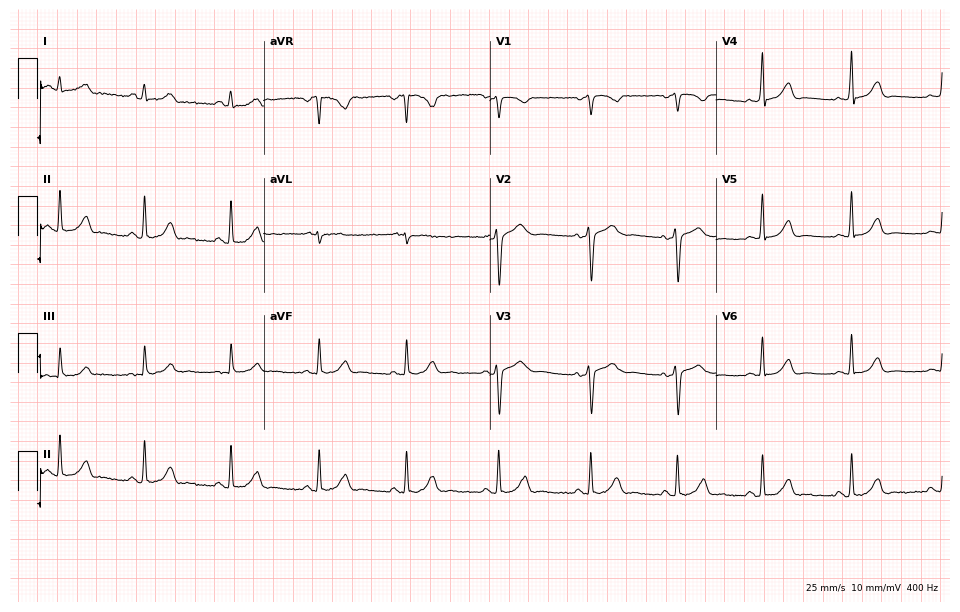
12-lead ECG (9.2-second recording at 400 Hz) from a 31-year-old woman. Screened for six findings — first-degree AV block, right bundle branch block (RBBB), left bundle branch block (LBBB), sinus bradycardia, atrial fibrillation (AF), sinus tachycardia — none is recorded.